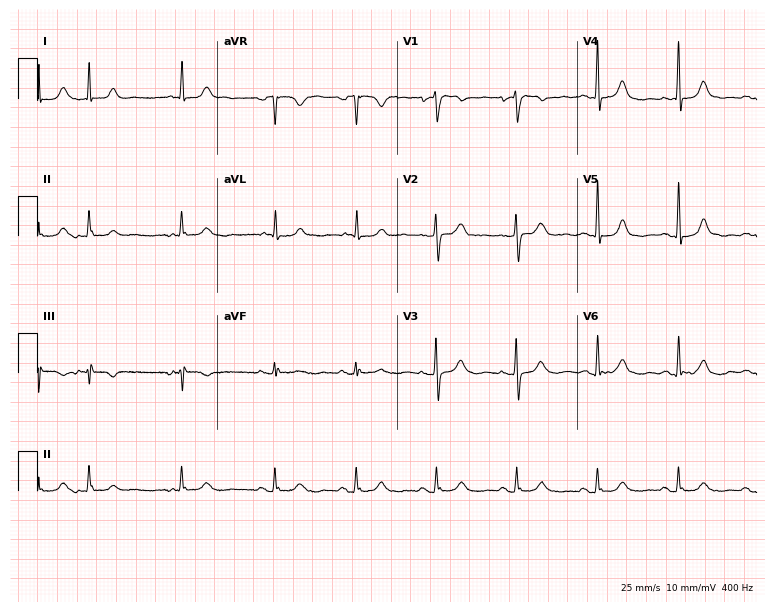
Electrocardiogram, a female, 74 years old. Overall reading on record: normal ECG.